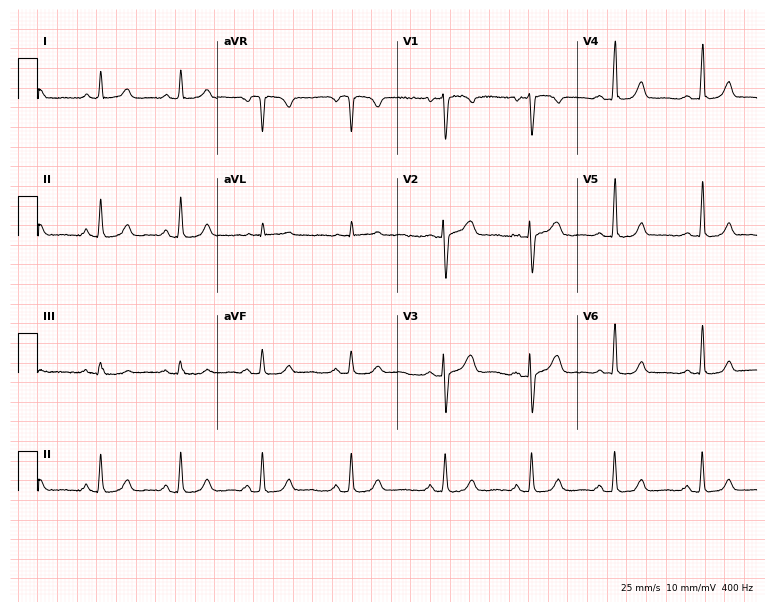
12-lead ECG from a 35-year-old woman. Screened for six findings — first-degree AV block, right bundle branch block, left bundle branch block, sinus bradycardia, atrial fibrillation, sinus tachycardia — none is recorded. Other findings, if any, are not listed.